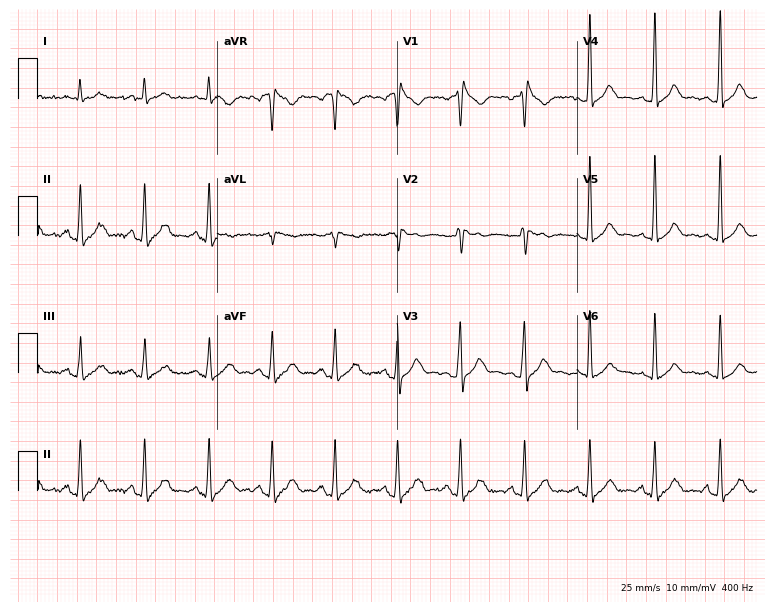
Standard 12-lead ECG recorded from a male patient, 37 years old. None of these six findings is recorded: first-degree AV block, right bundle branch block, left bundle branch block, sinus bradycardia, atrial fibrillation, sinus tachycardia. Only these six findings were labelled.